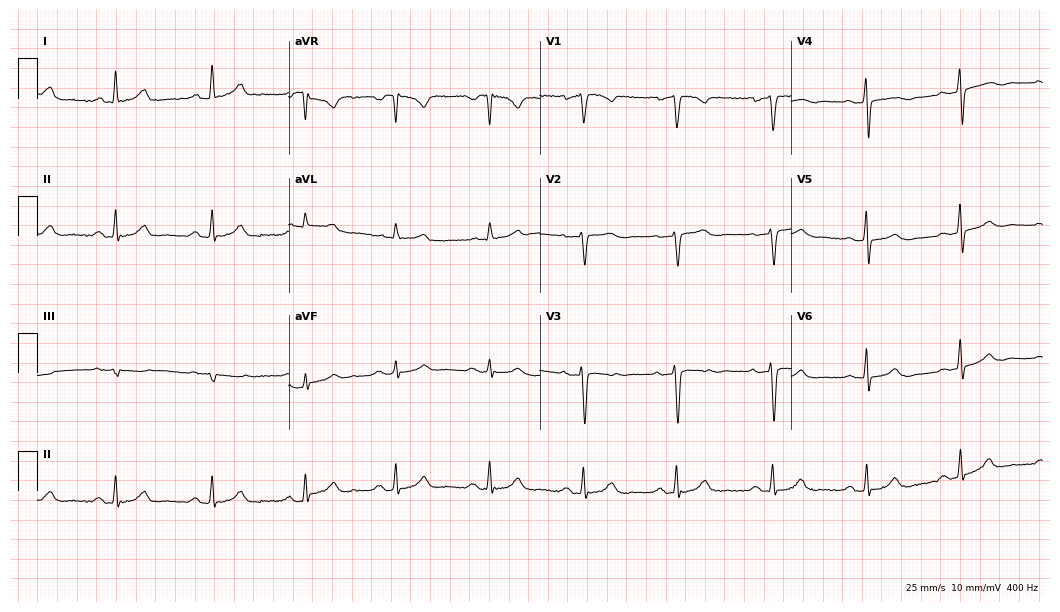
Standard 12-lead ECG recorded from a 53-year-old woman. Read as a normal ECG.